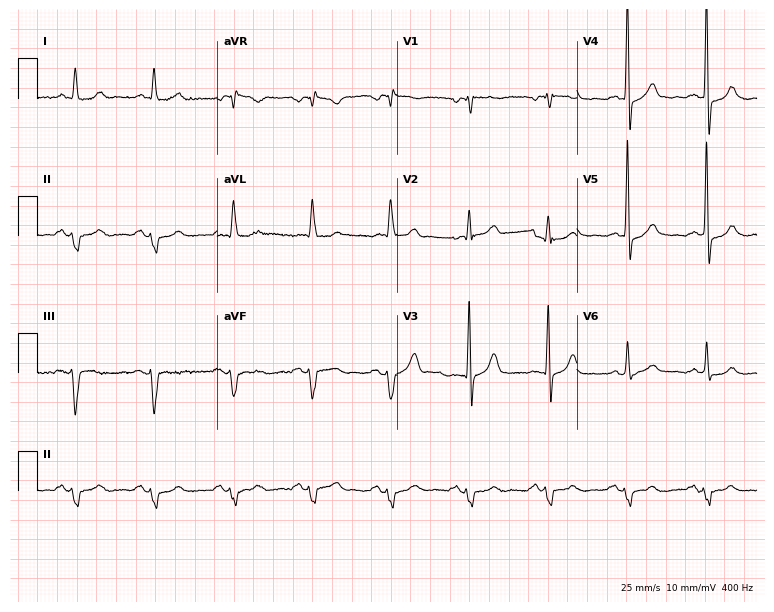
Standard 12-lead ECG recorded from a man, 82 years old (7.3-second recording at 400 Hz). None of these six findings is recorded: first-degree AV block, right bundle branch block, left bundle branch block, sinus bradycardia, atrial fibrillation, sinus tachycardia. Only these six findings were labelled.